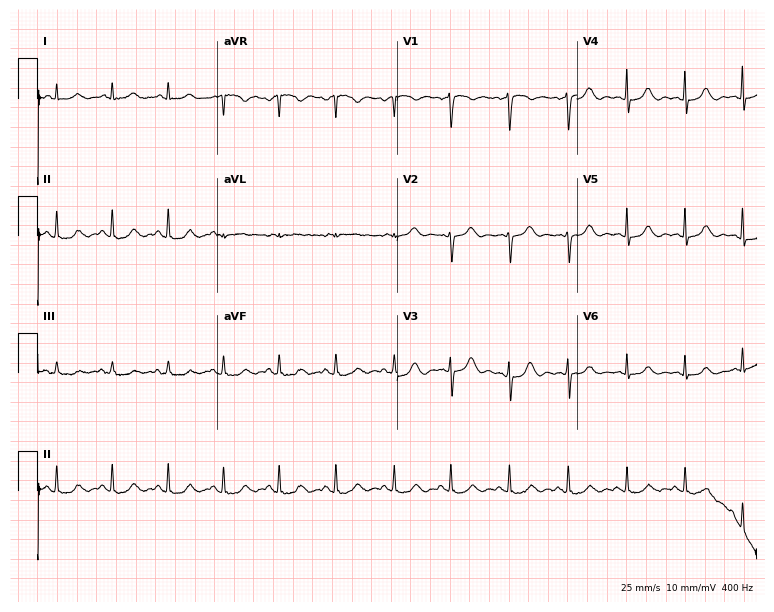
12-lead ECG (7.3-second recording at 400 Hz) from a 48-year-old female patient. Findings include sinus tachycardia (a sinus rate of 100 beats per minute or more).